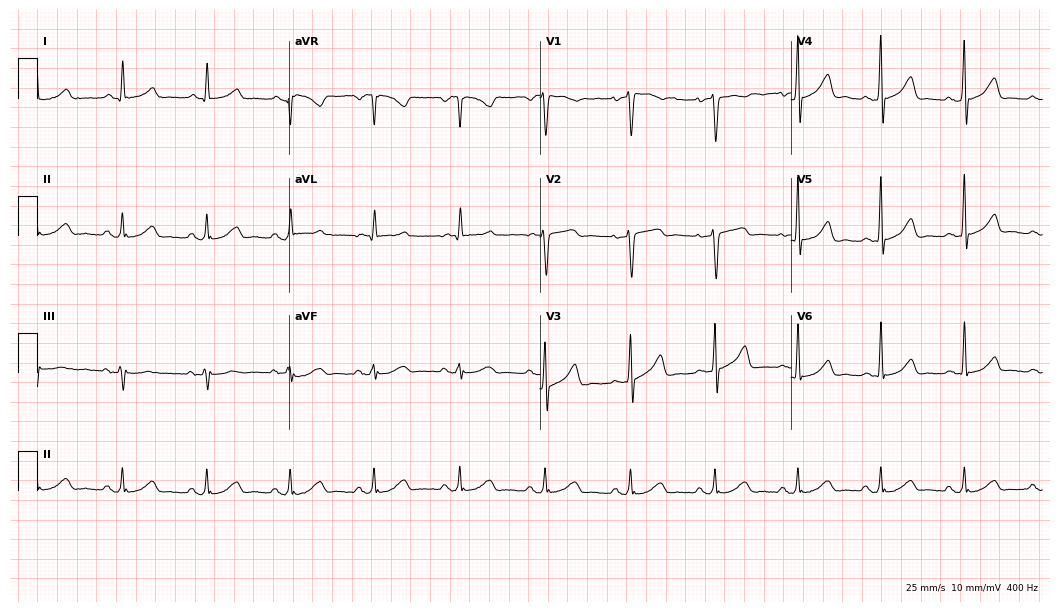
12-lead ECG from a female, 66 years old. Recorded interpretation: within normal limits.